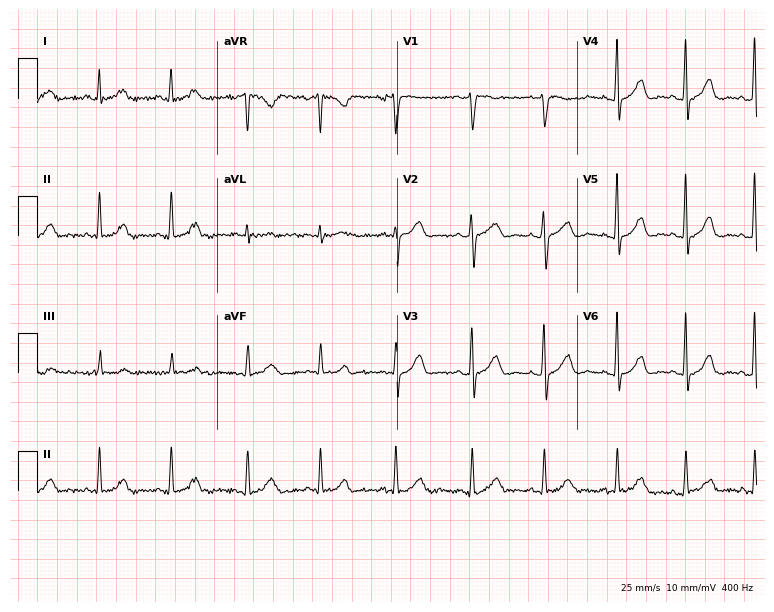
12-lead ECG from a 34-year-old woman. Labelled as a normal ECG.